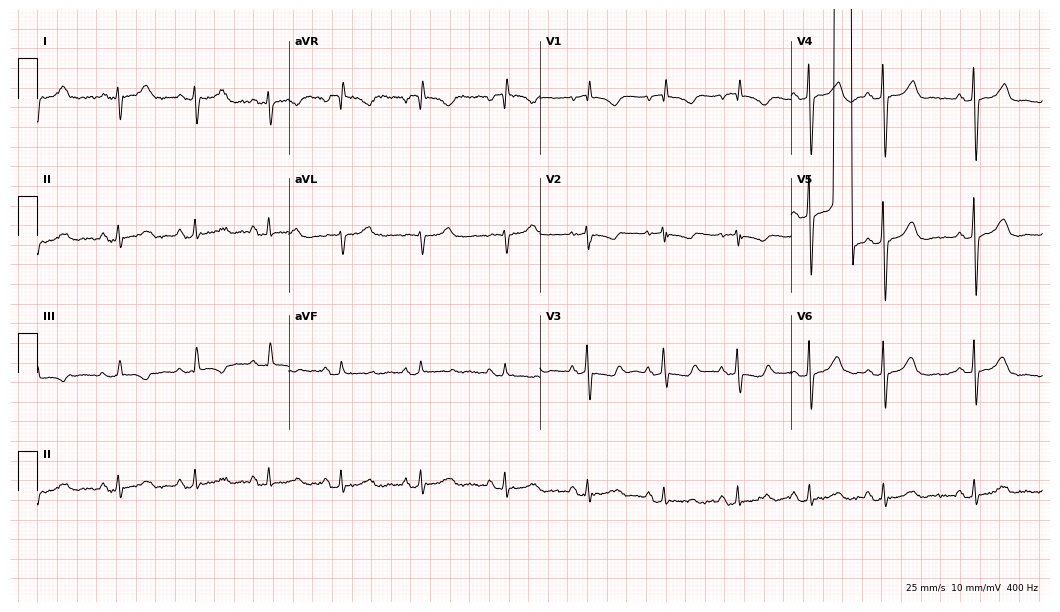
Standard 12-lead ECG recorded from a 65-year-old woman. None of these six findings is recorded: first-degree AV block, right bundle branch block, left bundle branch block, sinus bradycardia, atrial fibrillation, sinus tachycardia.